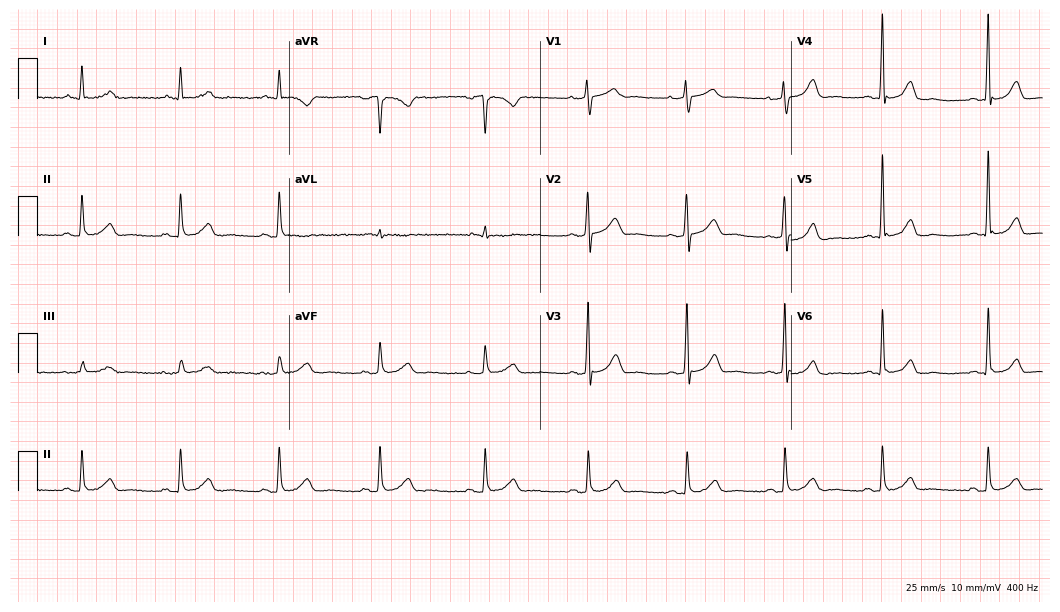
12-lead ECG (10.2-second recording at 400 Hz) from a 41-year-old man. Labelled as a normal ECG.